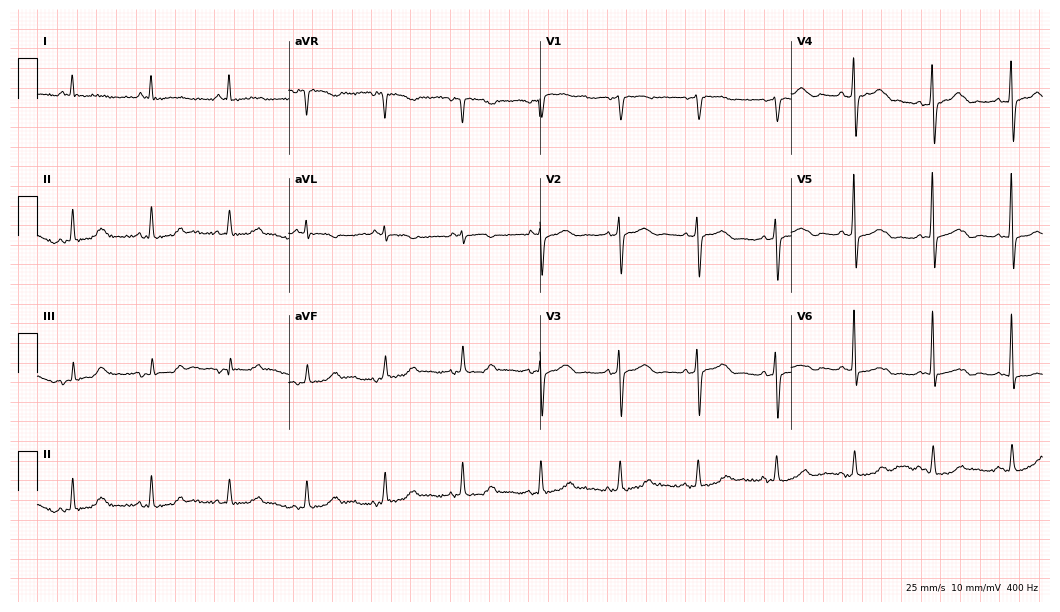
Electrocardiogram, a woman, 69 years old. Overall reading on record: normal ECG.